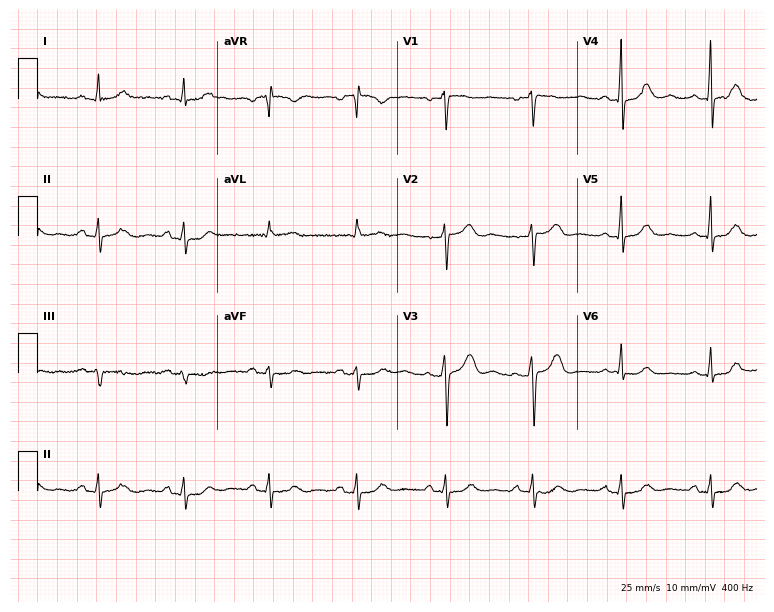
Resting 12-lead electrocardiogram. Patient: a female, 63 years old. Read as a normal ECG.